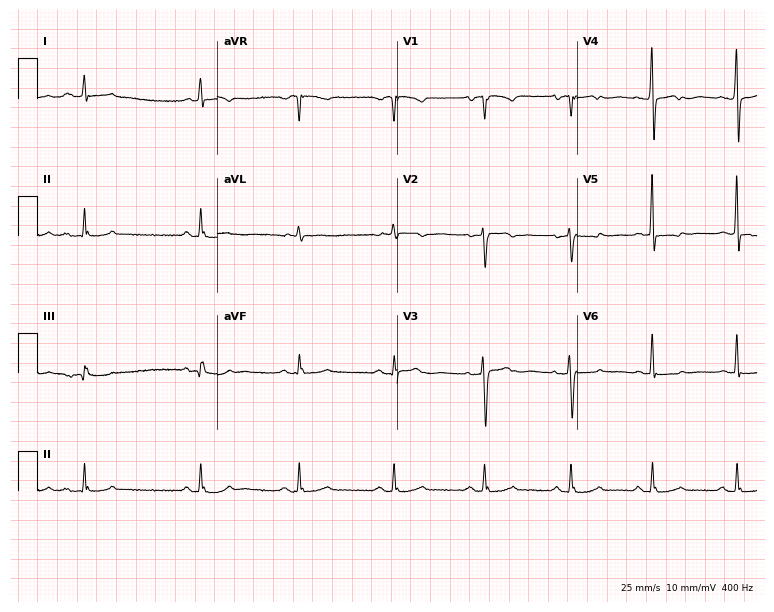
Standard 12-lead ECG recorded from an 87-year-old female patient (7.3-second recording at 400 Hz). None of these six findings is recorded: first-degree AV block, right bundle branch block (RBBB), left bundle branch block (LBBB), sinus bradycardia, atrial fibrillation (AF), sinus tachycardia.